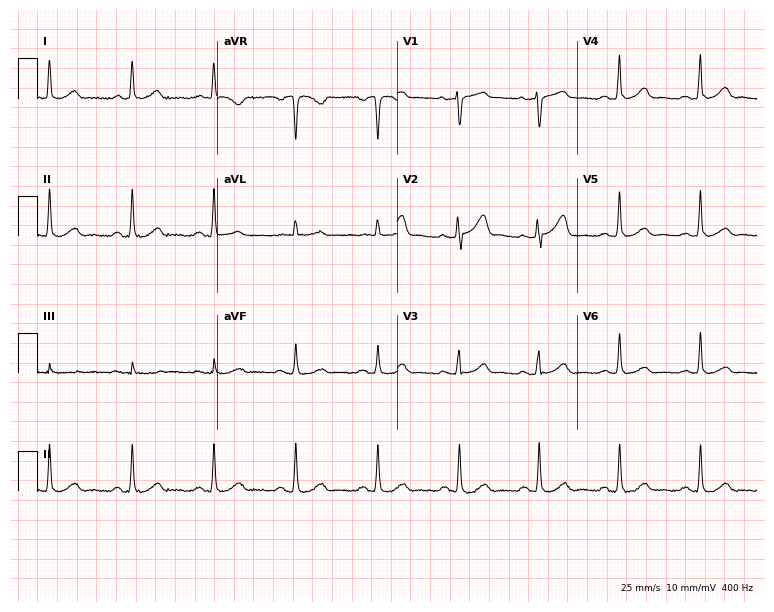
12-lead ECG from a man, 58 years old (7.3-second recording at 400 Hz). Recorded interpretation: within normal limits.